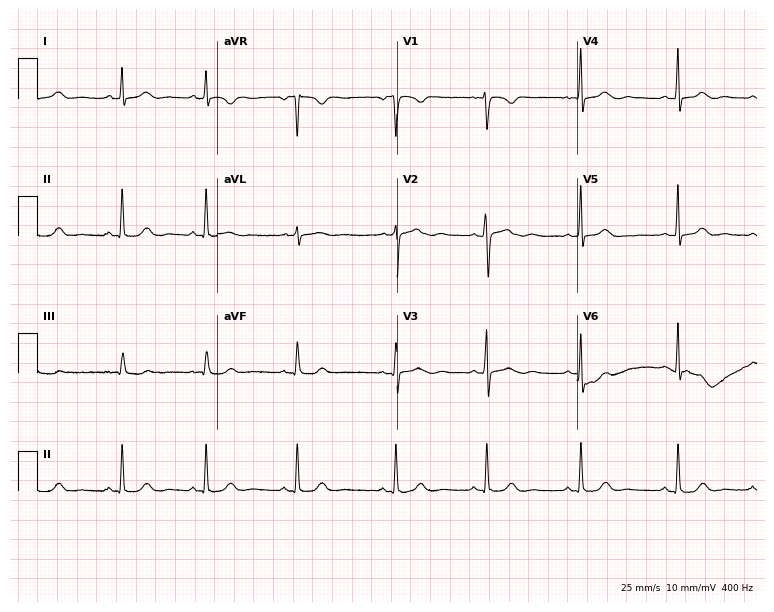
Electrocardiogram, a 38-year-old female patient. Overall reading on record: normal ECG.